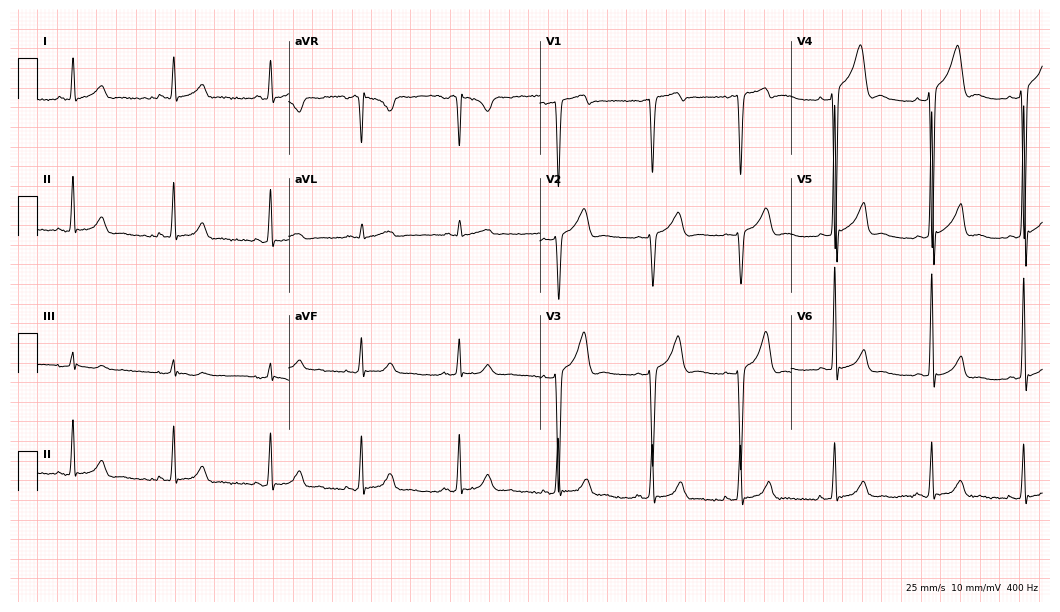
ECG (10.2-second recording at 400 Hz) — a male patient, 28 years old. Labelled as a normal ECG.